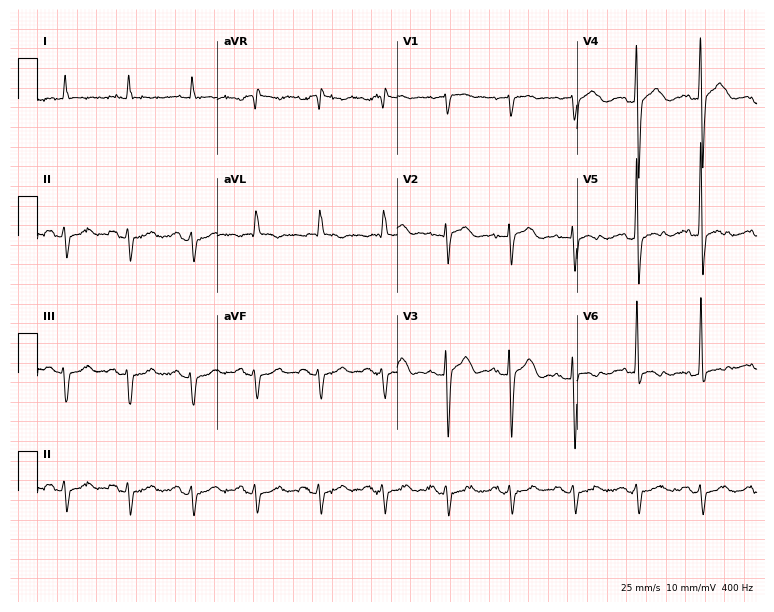
12-lead ECG (7.3-second recording at 400 Hz) from a male patient, 84 years old. Screened for six findings — first-degree AV block, right bundle branch block, left bundle branch block, sinus bradycardia, atrial fibrillation, sinus tachycardia — none is recorded.